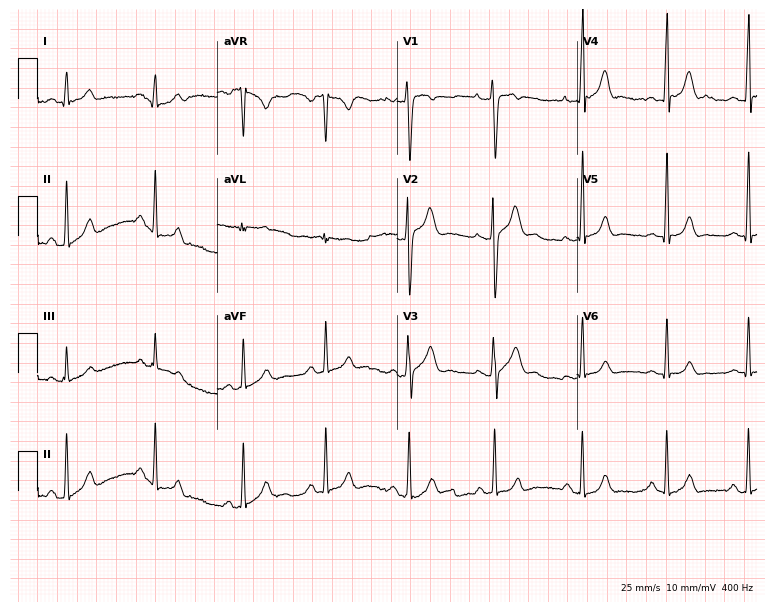
ECG (7.3-second recording at 400 Hz) — a 30-year-old male patient. Screened for six findings — first-degree AV block, right bundle branch block, left bundle branch block, sinus bradycardia, atrial fibrillation, sinus tachycardia — none is recorded. Findings outside these six are not listed.